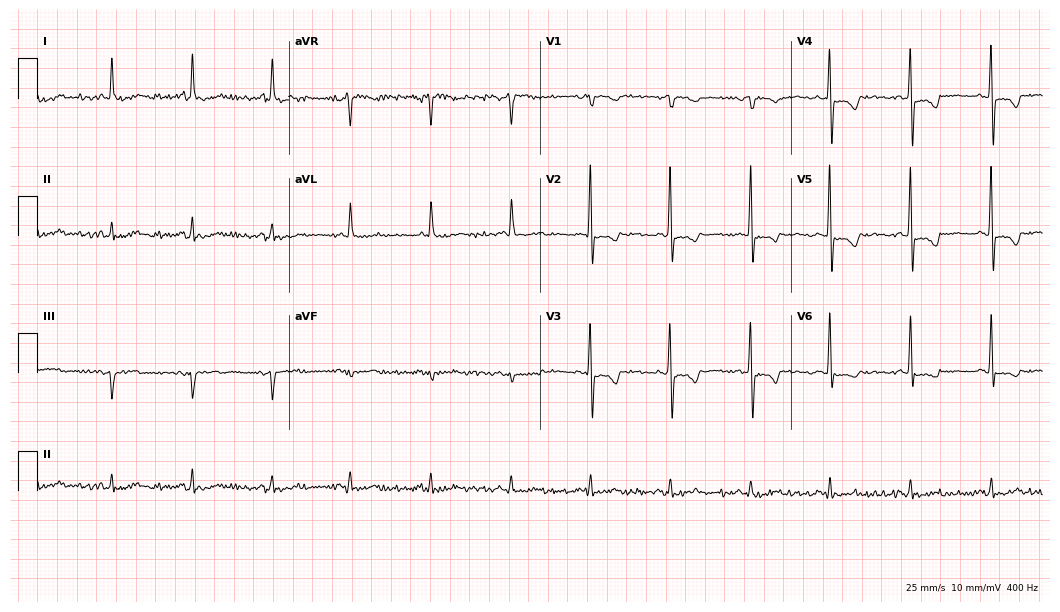
Resting 12-lead electrocardiogram (10.2-second recording at 400 Hz). Patient: a 73-year-old female. None of these six findings is recorded: first-degree AV block, right bundle branch block, left bundle branch block, sinus bradycardia, atrial fibrillation, sinus tachycardia. Only these six findings were labelled.